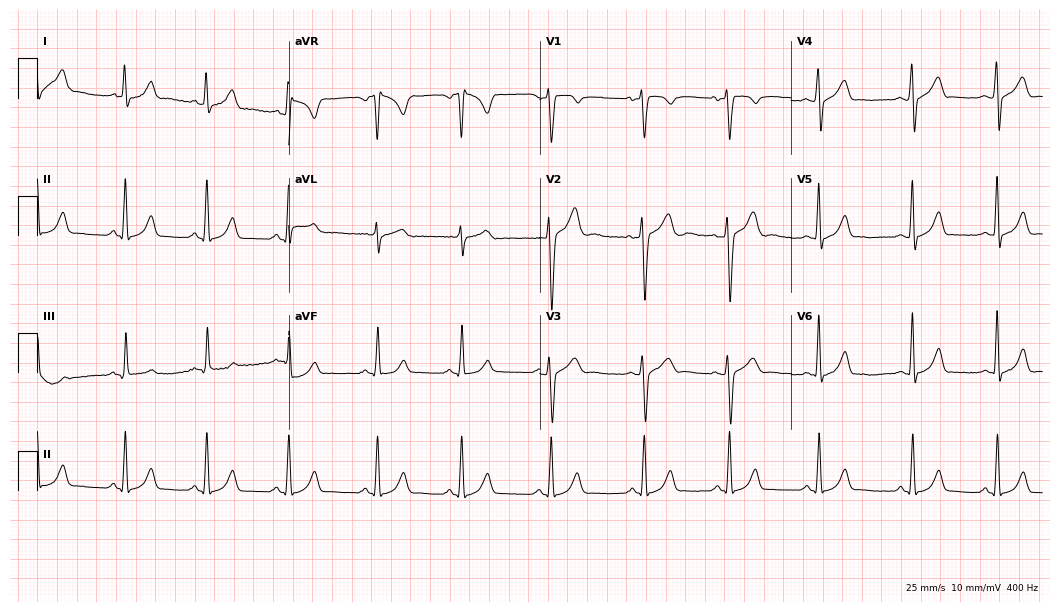
12-lead ECG from a 19-year-old male patient. Recorded interpretation: within normal limits.